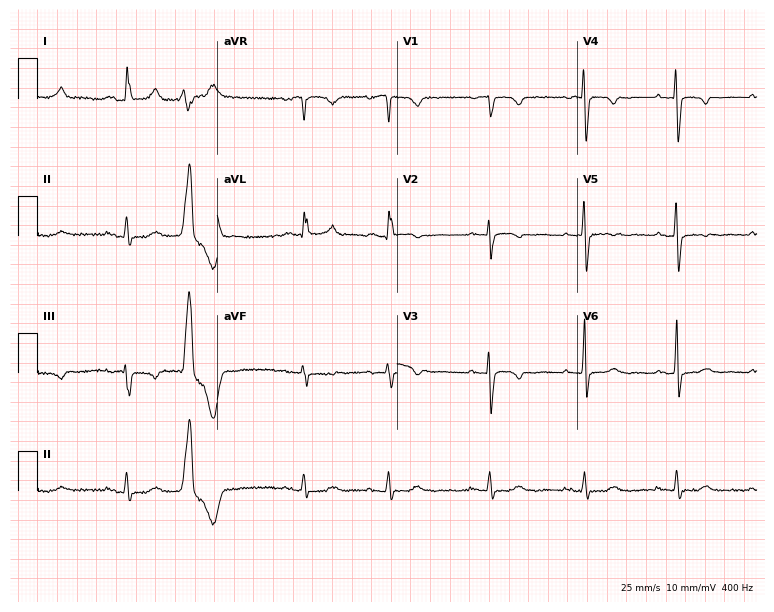
ECG (7.3-second recording at 400 Hz) — a female, 75 years old. Screened for six findings — first-degree AV block, right bundle branch block, left bundle branch block, sinus bradycardia, atrial fibrillation, sinus tachycardia — none is recorded. Only these six findings were labelled.